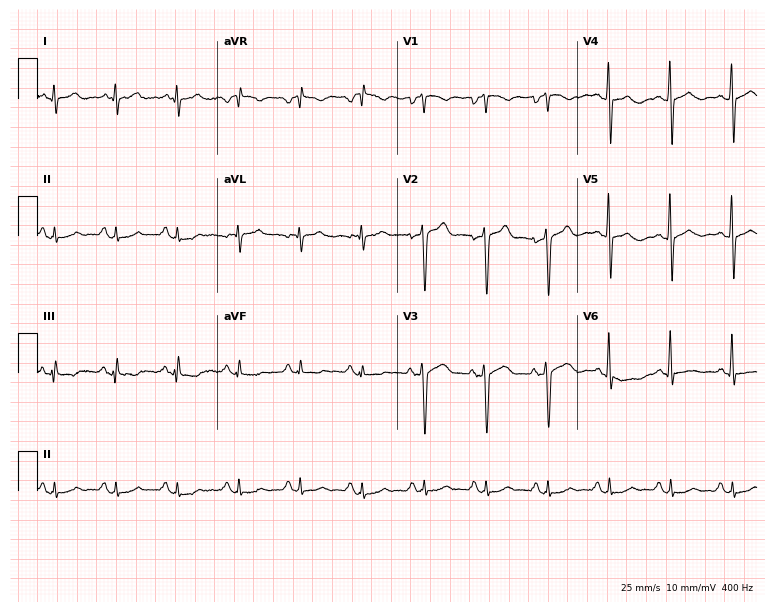
ECG — a man, 56 years old. Screened for six findings — first-degree AV block, right bundle branch block, left bundle branch block, sinus bradycardia, atrial fibrillation, sinus tachycardia — none is recorded.